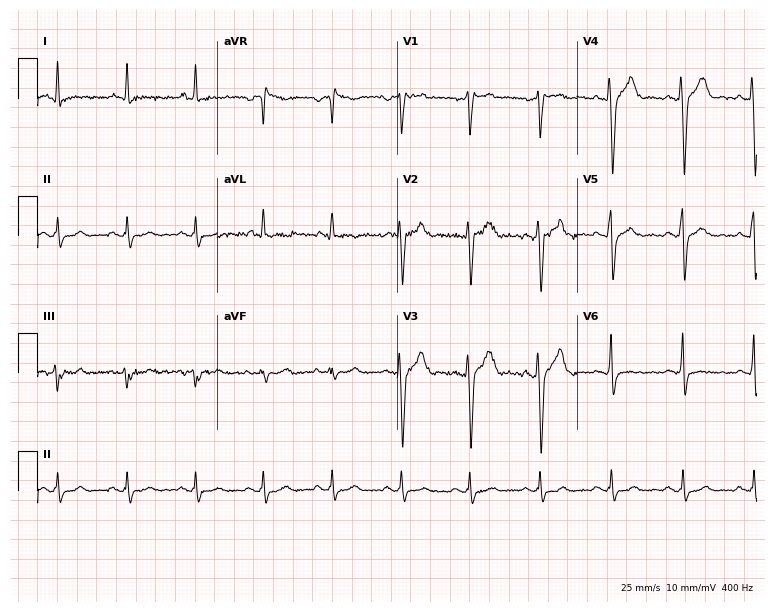
12-lead ECG (7.3-second recording at 400 Hz) from a male patient, 53 years old. Screened for six findings — first-degree AV block, right bundle branch block (RBBB), left bundle branch block (LBBB), sinus bradycardia, atrial fibrillation (AF), sinus tachycardia — none is recorded. Other findings, if any, are not listed.